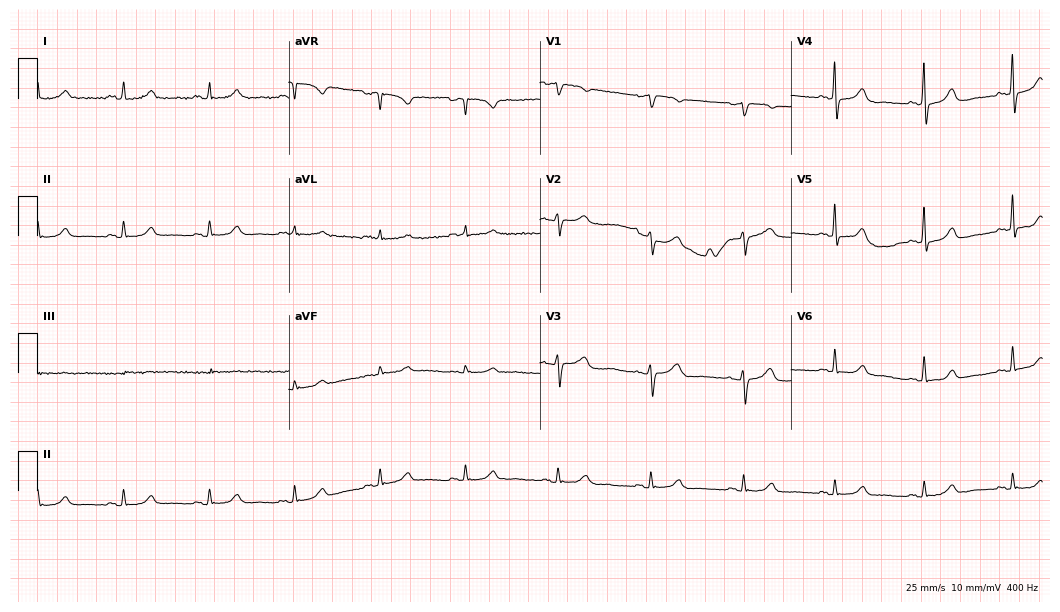
Standard 12-lead ECG recorded from a 68-year-old female patient. Read as a normal ECG.